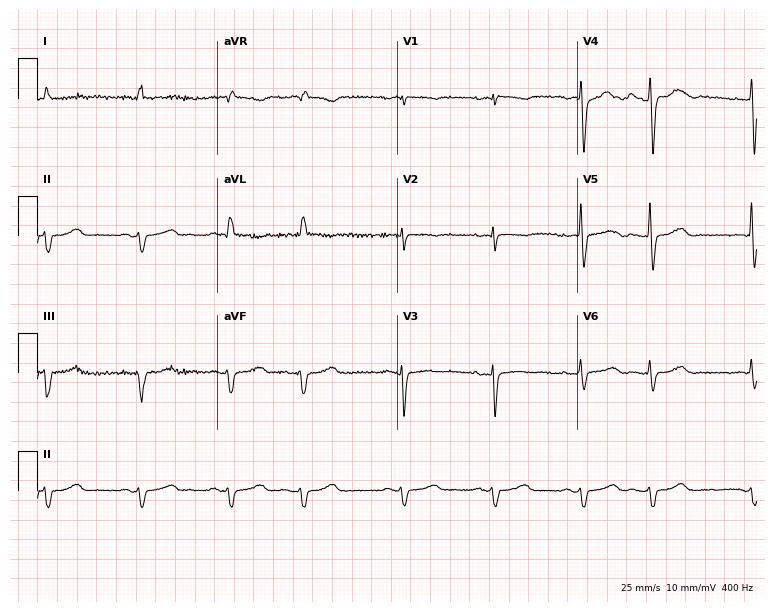
Electrocardiogram (7.3-second recording at 400 Hz), a woman, 64 years old. Of the six screened findings (first-degree AV block, right bundle branch block (RBBB), left bundle branch block (LBBB), sinus bradycardia, atrial fibrillation (AF), sinus tachycardia), none is recorded. Other findings, if any, are not listed.